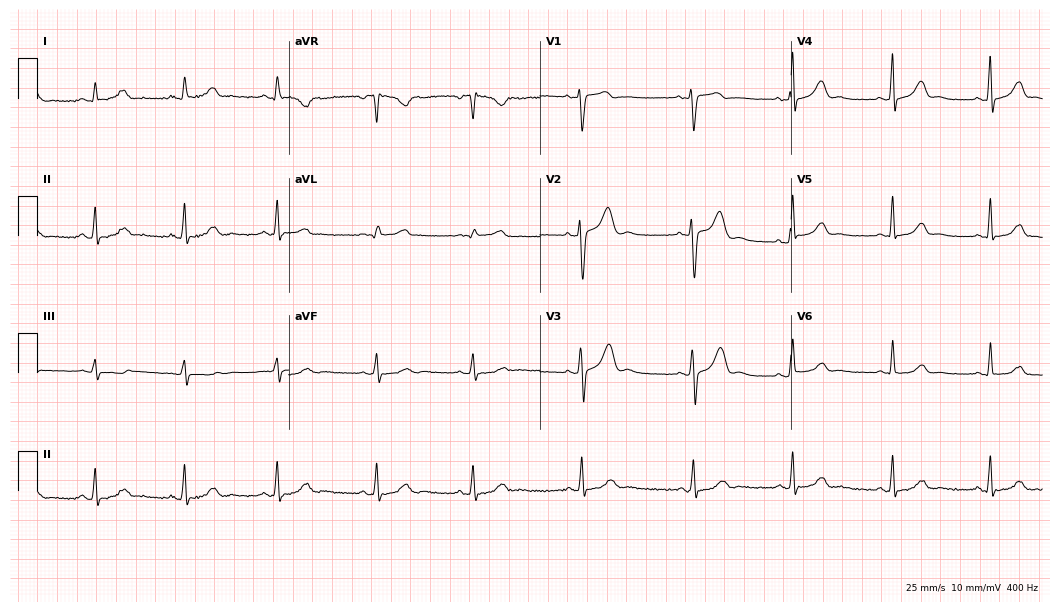
Standard 12-lead ECG recorded from a 45-year-old woman. Read as a normal ECG.